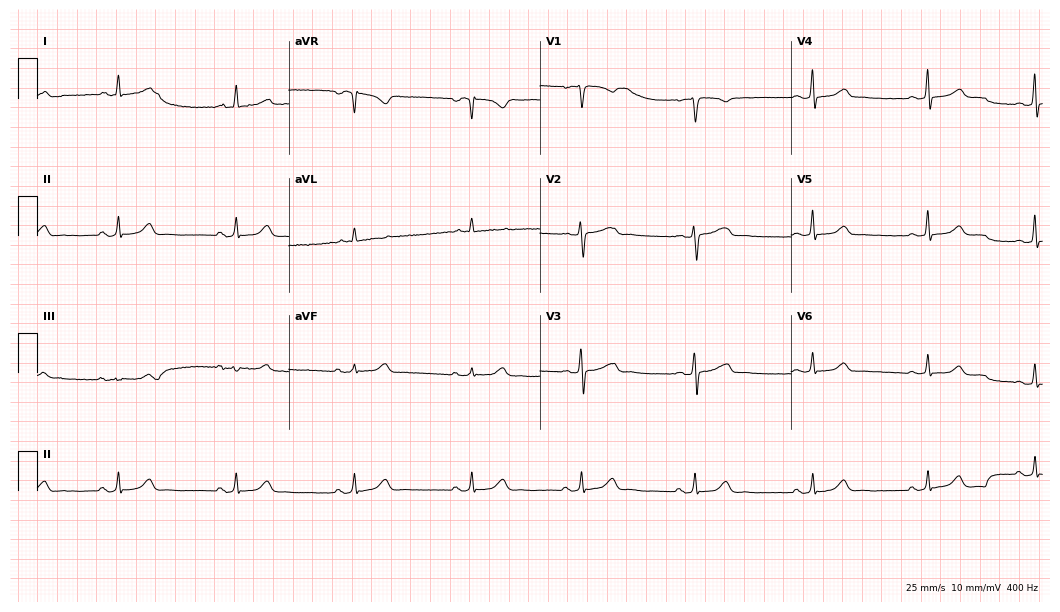
12-lead ECG from a female patient, 36 years old (10.2-second recording at 400 Hz). Recorded interpretation: within normal limits.